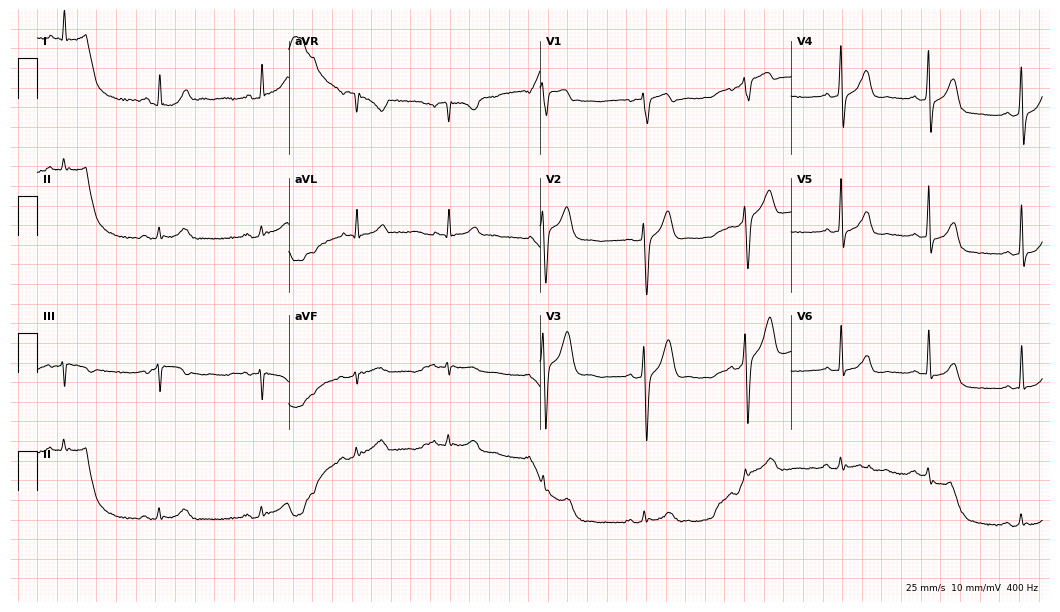
12-lead ECG from a 46-year-old male. Recorded interpretation: within normal limits.